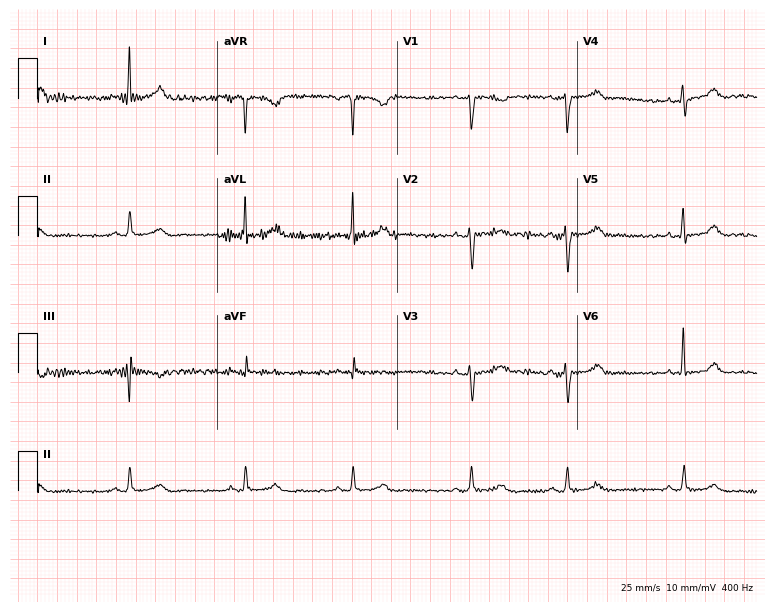
Resting 12-lead electrocardiogram. Patient: a 60-year-old female. None of these six findings is recorded: first-degree AV block, right bundle branch block, left bundle branch block, sinus bradycardia, atrial fibrillation, sinus tachycardia.